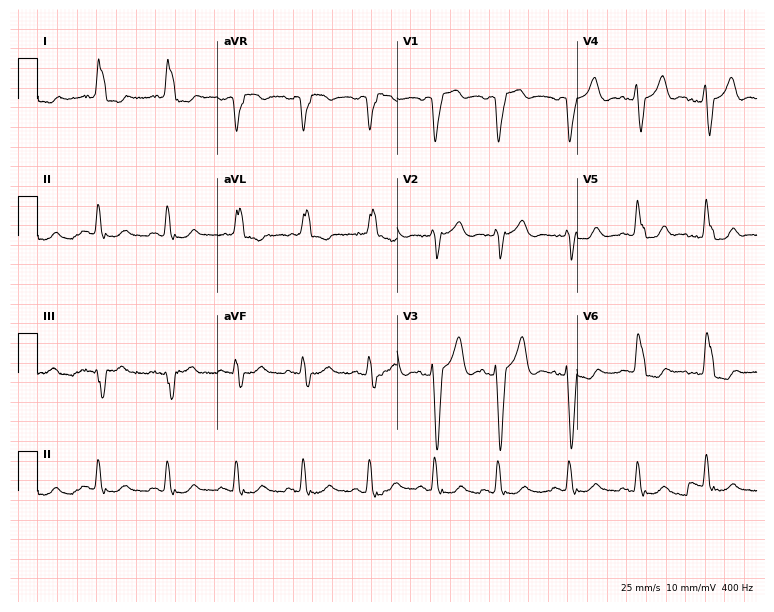
Electrocardiogram (7.3-second recording at 400 Hz), a 75-year-old female. Interpretation includes left bundle branch block.